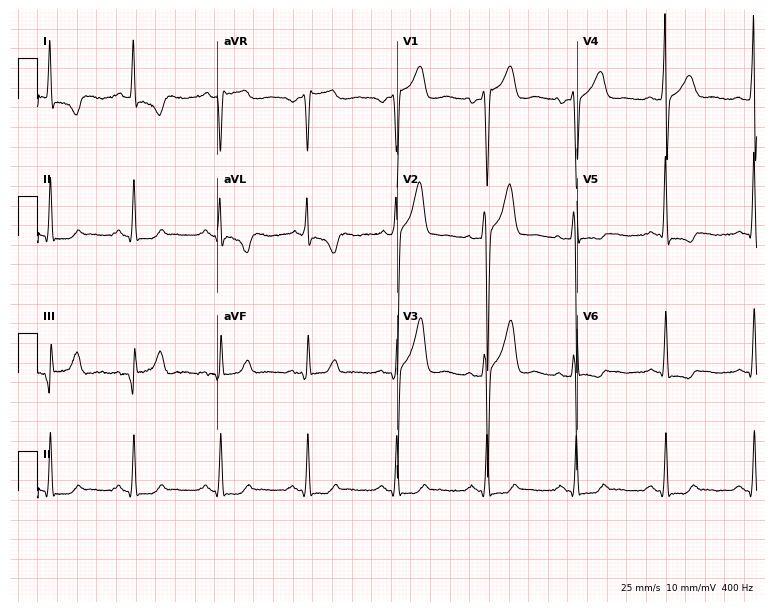
ECG — a man, 49 years old. Screened for six findings — first-degree AV block, right bundle branch block (RBBB), left bundle branch block (LBBB), sinus bradycardia, atrial fibrillation (AF), sinus tachycardia — none is recorded. Only these six findings were labelled.